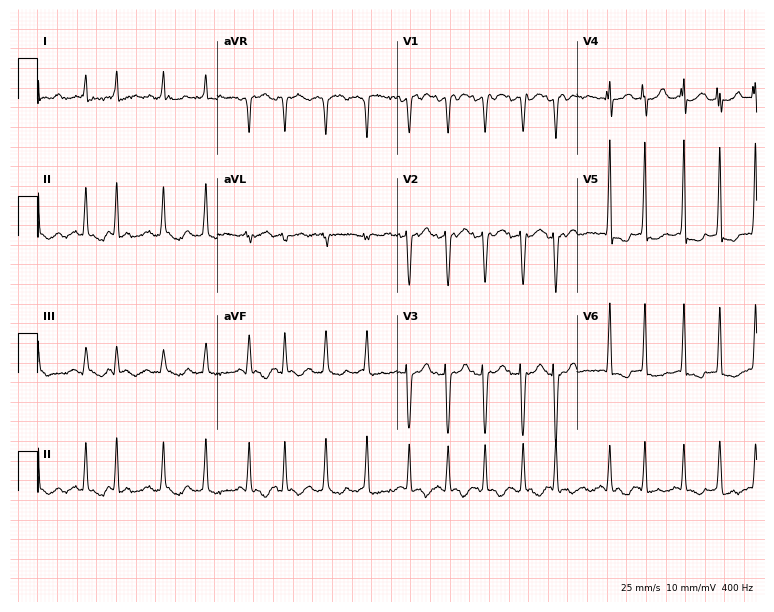
ECG (7.3-second recording at 400 Hz) — a 59-year-old female. Findings include atrial fibrillation (AF).